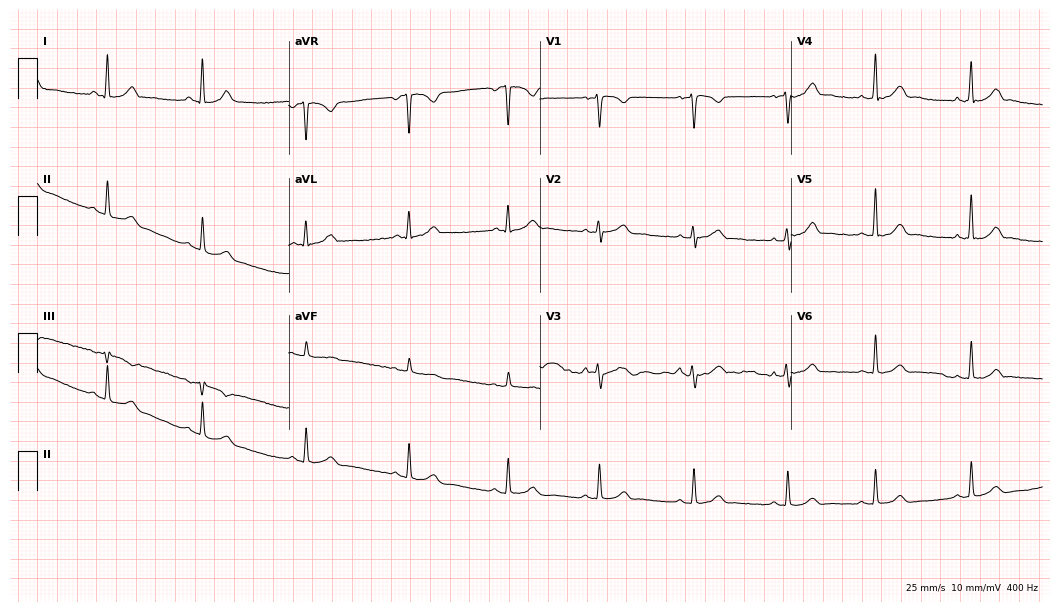
Resting 12-lead electrocardiogram. Patient: a 19-year-old female. Read as a normal ECG.